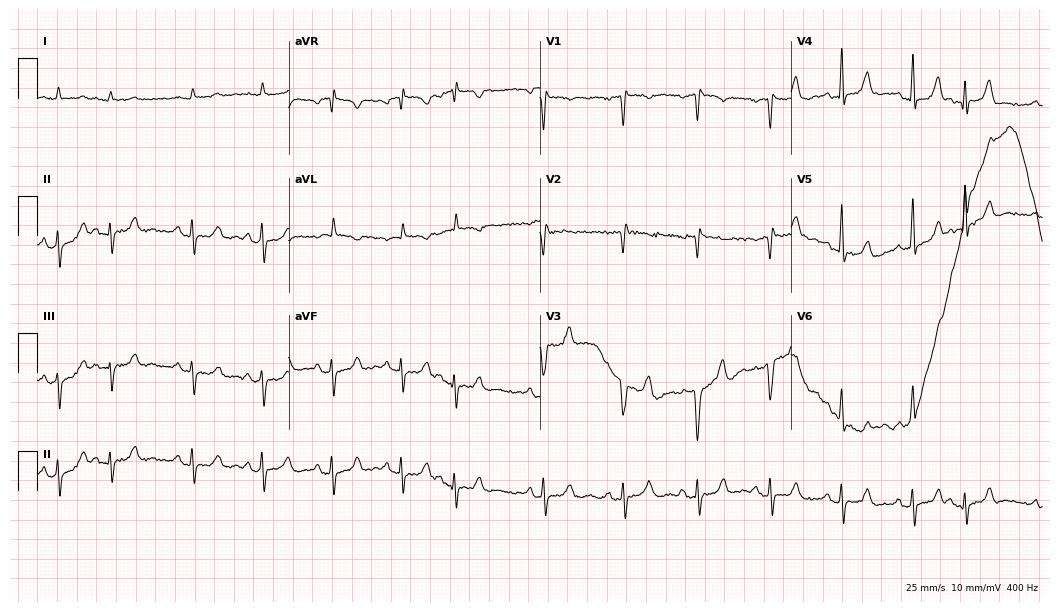
Standard 12-lead ECG recorded from a 67-year-old man (10.2-second recording at 400 Hz). None of these six findings is recorded: first-degree AV block, right bundle branch block, left bundle branch block, sinus bradycardia, atrial fibrillation, sinus tachycardia. Only these six findings were labelled.